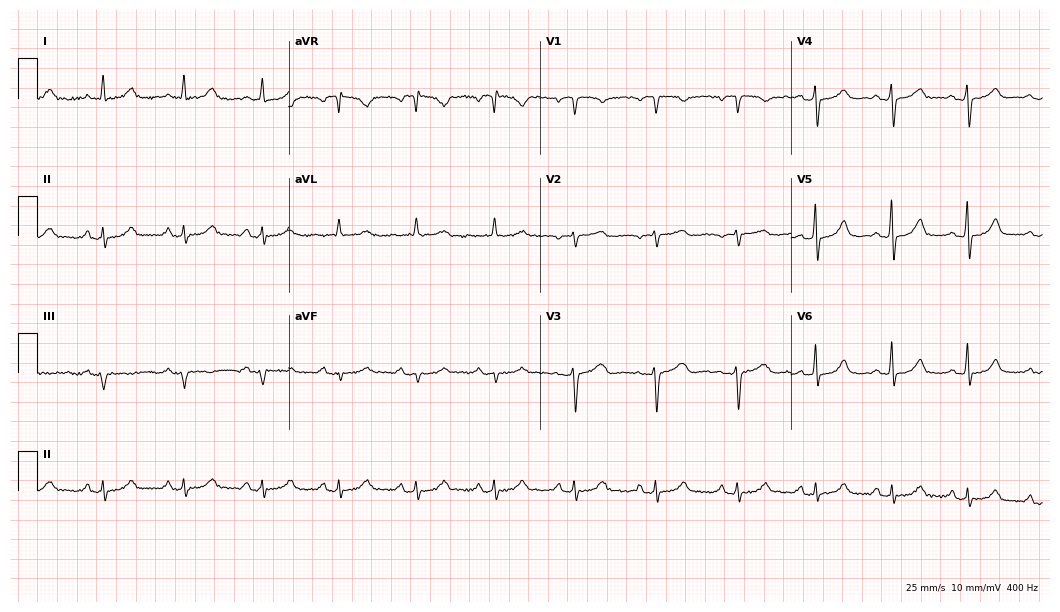
Electrocardiogram, a 78-year-old woman. Of the six screened findings (first-degree AV block, right bundle branch block, left bundle branch block, sinus bradycardia, atrial fibrillation, sinus tachycardia), none is recorded. Other findings, if any, are not listed.